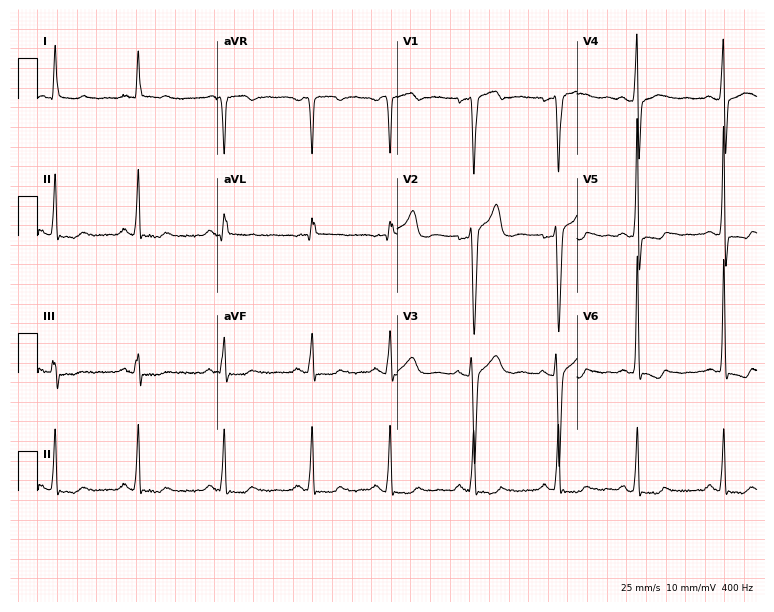
12-lead ECG from a man, 38 years old. Screened for six findings — first-degree AV block, right bundle branch block, left bundle branch block, sinus bradycardia, atrial fibrillation, sinus tachycardia — none is recorded. Other findings, if any, are not listed.